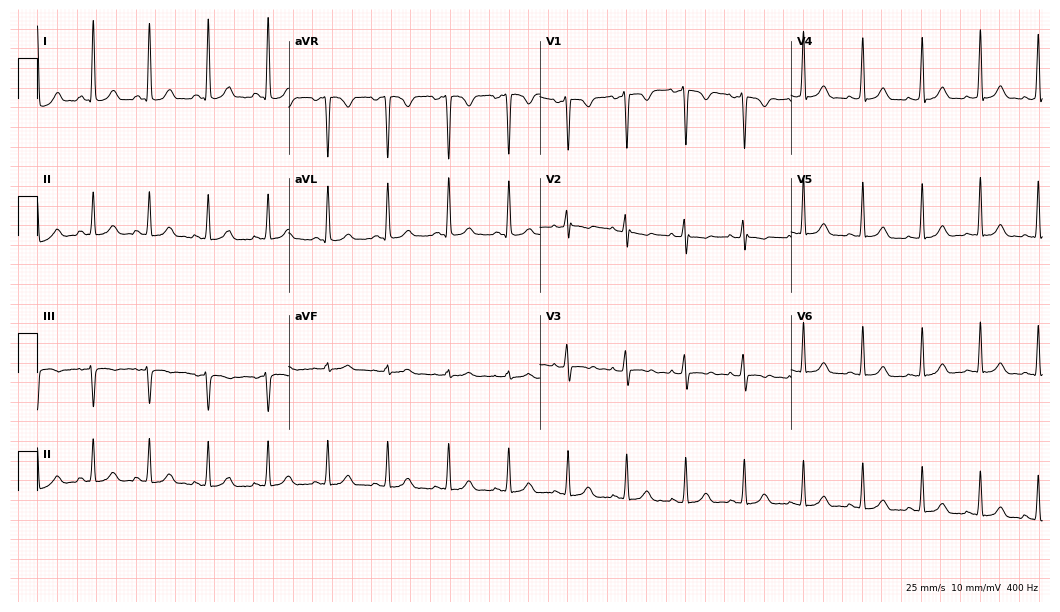
Resting 12-lead electrocardiogram (10.2-second recording at 400 Hz). Patient: a female, 26 years old. Read as a normal ECG.